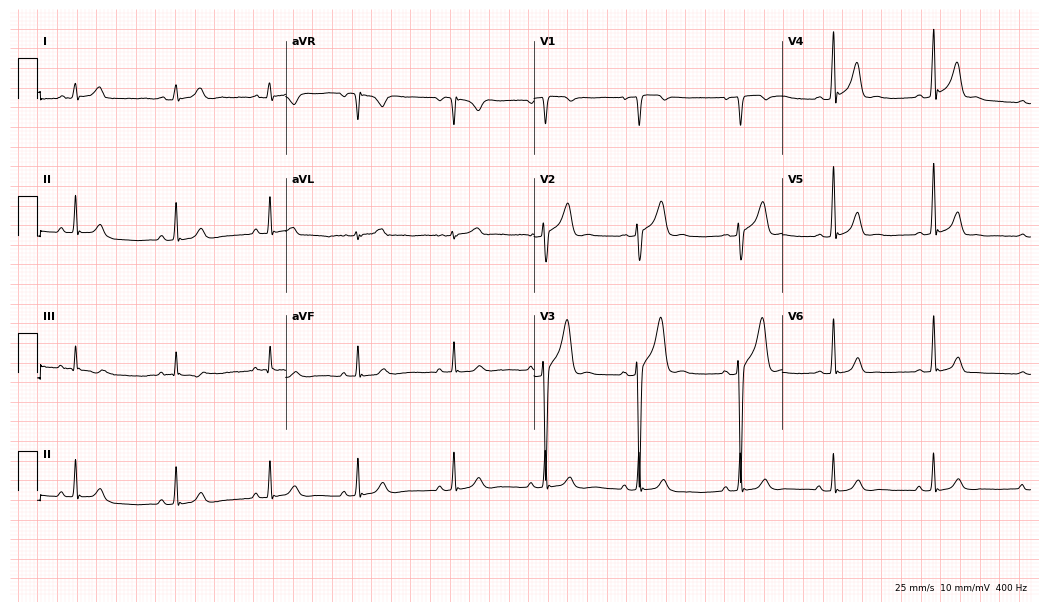
Electrocardiogram (10.1-second recording at 400 Hz), a 31-year-old male. Of the six screened findings (first-degree AV block, right bundle branch block, left bundle branch block, sinus bradycardia, atrial fibrillation, sinus tachycardia), none is recorded. Only these six findings were labelled.